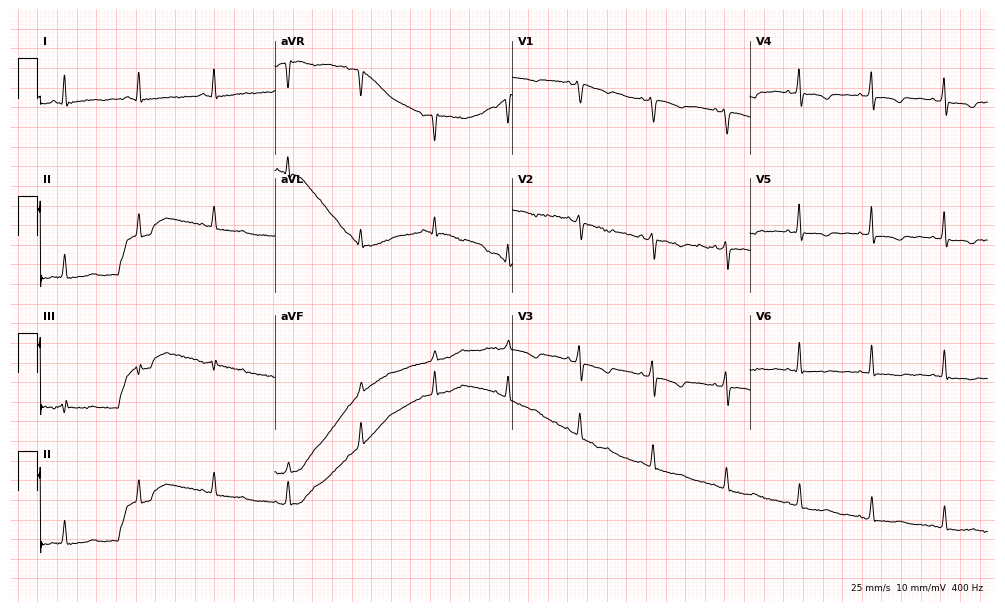
ECG (9.7-second recording at 400 Hz) — a woman, 48 years old. Screened for six findings — first-degree AV block, right bundle branch block (RBBB), left bundle branch block (LBBB), sinus bradycardia, atrial fibrillation (AF), sinus tachycardia — none is recorded.